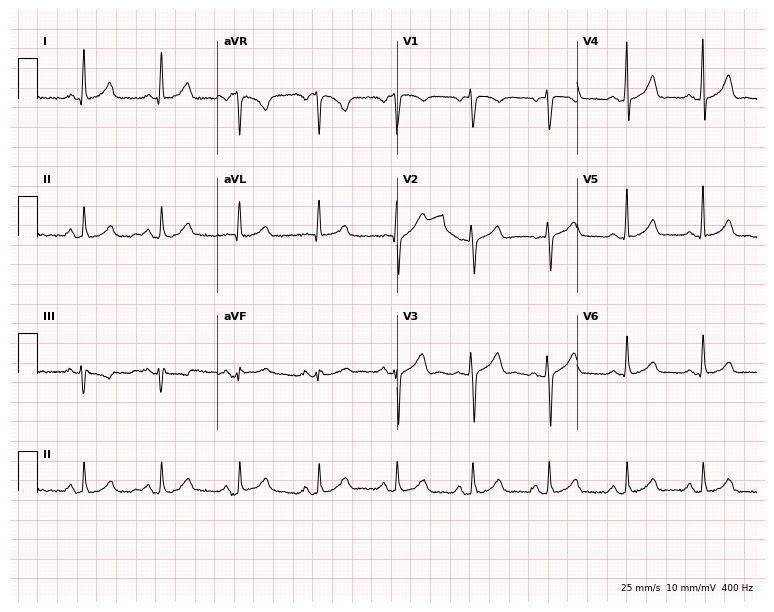
Standard 12-lead ECG recorded from a 62-year-old female. Read as a normal ECG.